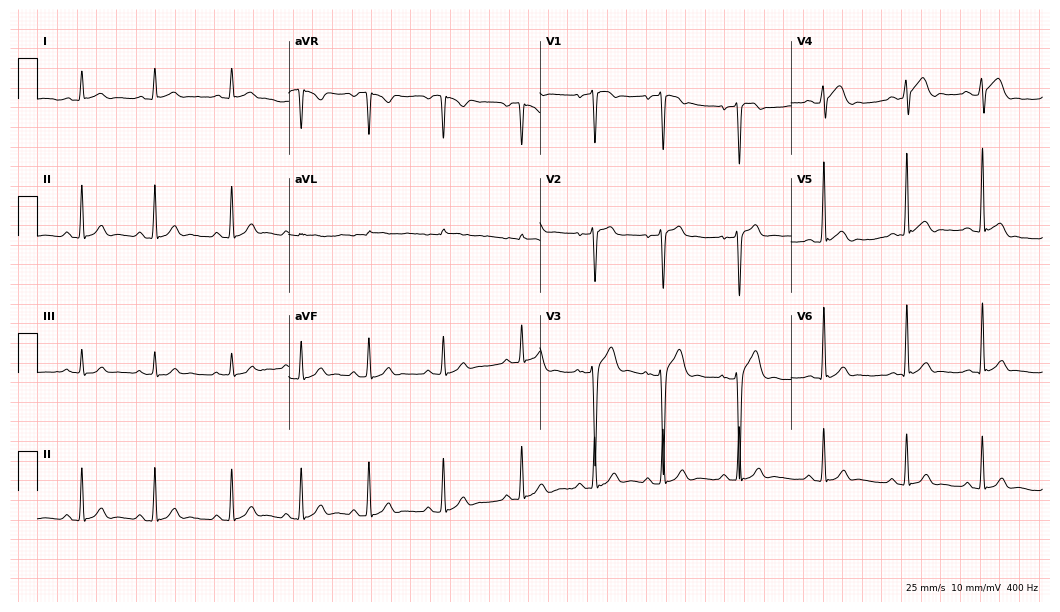
12-lead ECG from a 17-year-old male patient (10.2-second recording at 400 Hz). Recorded interpretation: within normal limits.